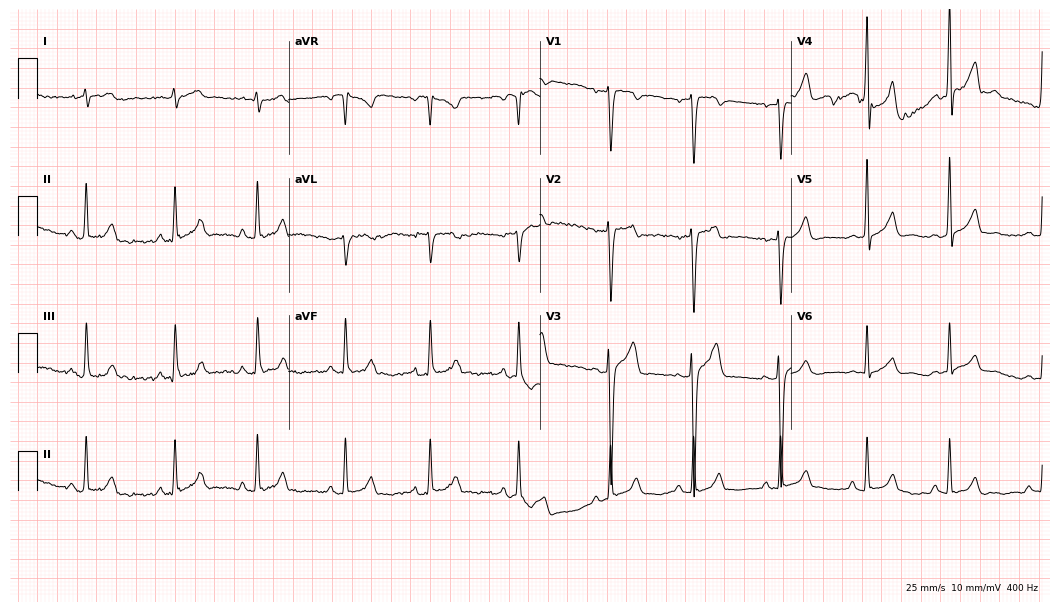
Resting 12-lead electrocardiogram (10.2-second recording at 400 Hz). Patient: a male, 22 years old. Read as a normal ECG.